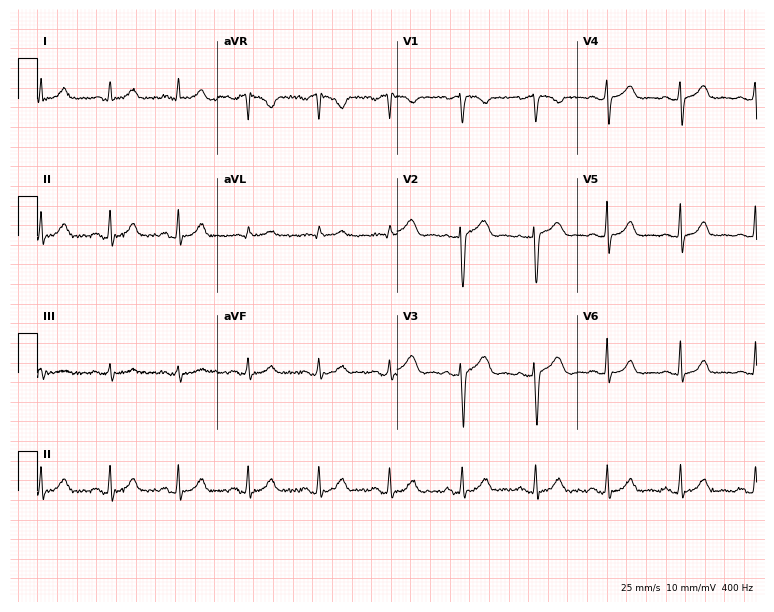
Resting 12-lead electrocardiogram (7.3-second recording at 400 Hz). Patient: a 49-year-old woman. Read as a normal ECG.